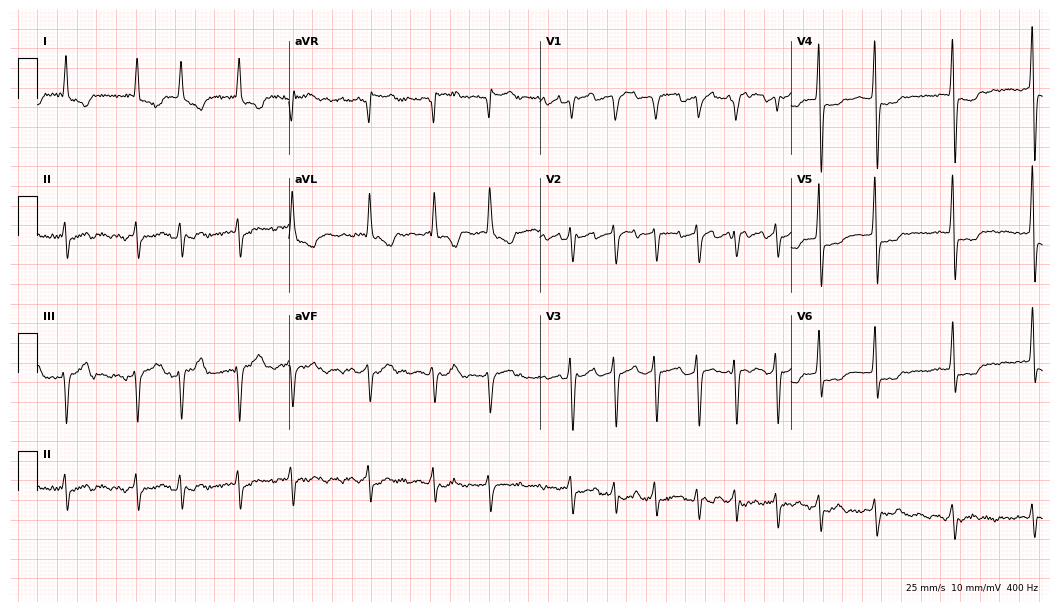
12-lead ECG from a 75-year-old woman (10.2-second recording at 400 Hz). Shows atrial fibrillation.